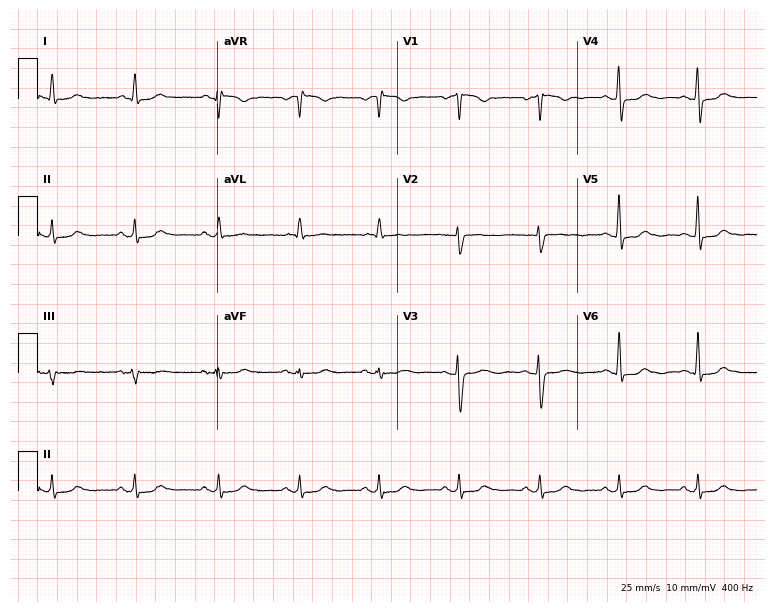
12-lead ECG from a female patient, 63 years old (7.3-second recording at 400 Hz). No first-degree AV block, right bundle branch block, left bundle branch block, sinus bradycardia, atrial fibrillation or sinus tachycardia recorded for this tracing. Findings outside these six are not listed.